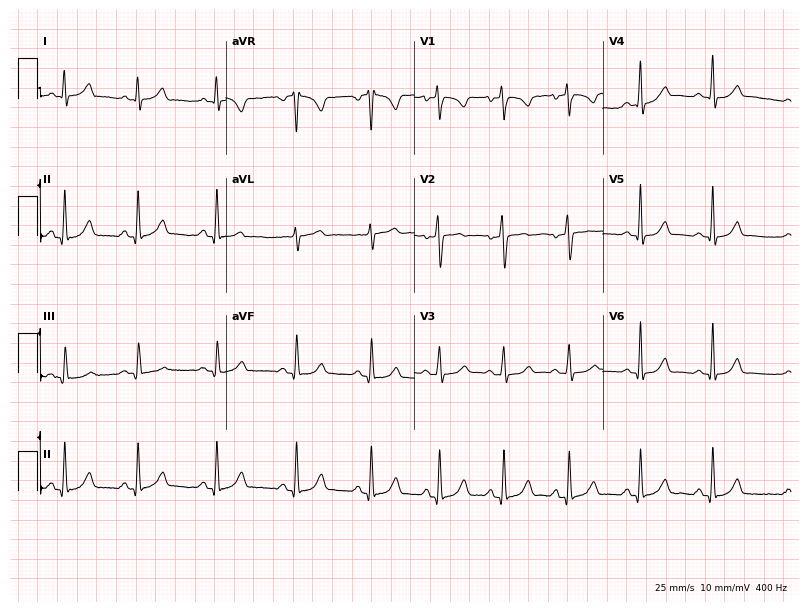
12-lead ECG (7.7-second recording at 400 Hz) from a female, 24 years old. Labelled as a normal ECG.